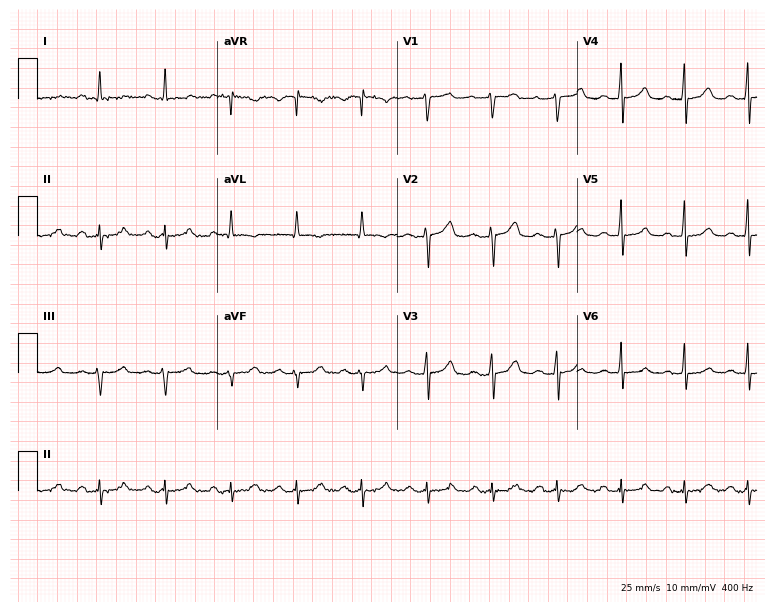
12-lead ECG (7.3-second recording at 400 Hz) from a 45-year-old woman. Screened for six findings — first-degree AV block, right bundle branch block, left bundle branch block, sinus bradycardia, atrial fibrillation, sinus tachycardia — none is recorded. Only these six findings were labelled.